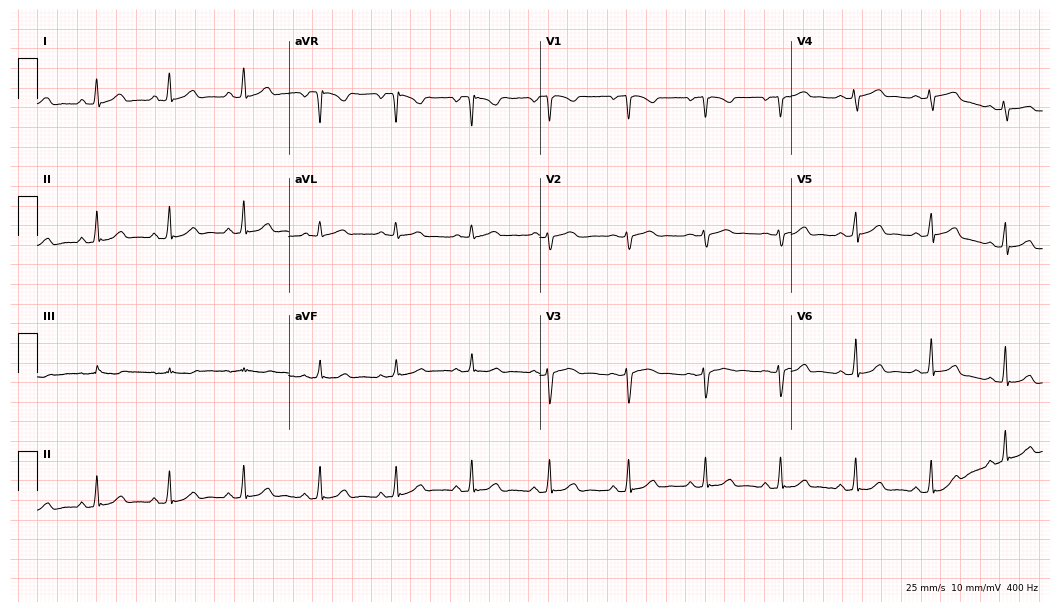
Electrocardiogram, a 36-year-old woman. Overall reading on record: normal ECG.